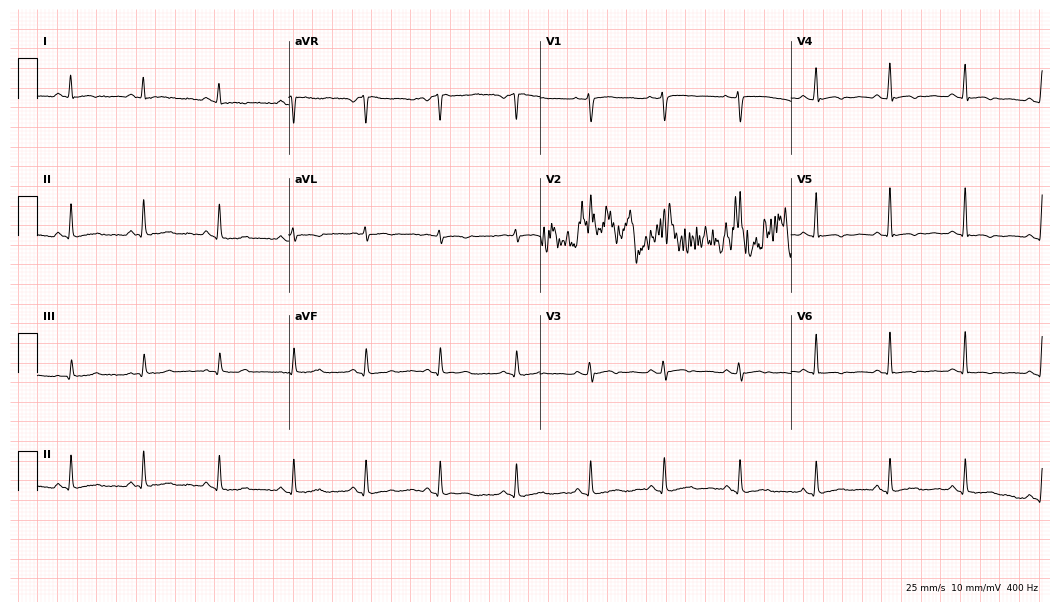
Electrocardiogram, a 49-year-old female. Of the six screened findings (first-degree AV block, right bundle branch block, left bundle branch block, sinus bradycardia, atrial fibrillation, sinus tachycardia), none is recorded.